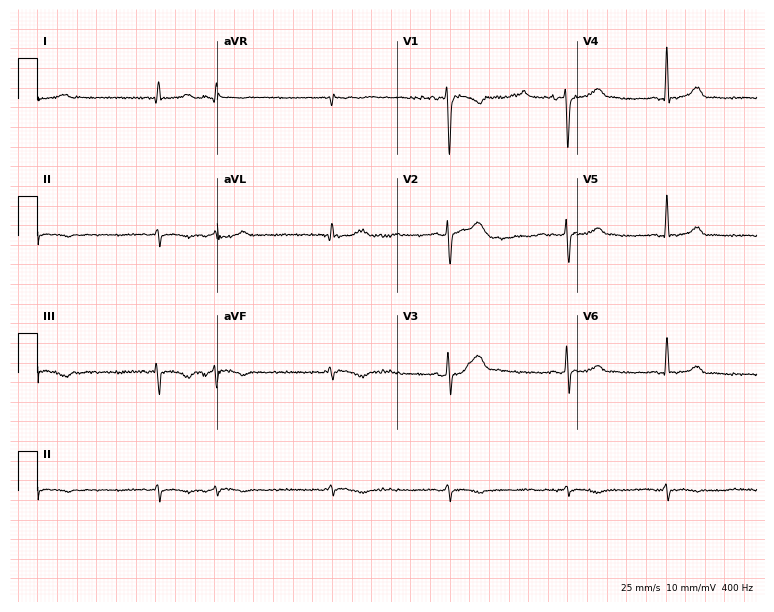
12-lead ECG from a 34-year-old female patient. No first-degree AV block, right bundle branch block, left bundle branch block, sinus bradycardia, atrial fibrillation or sinus tachycardia recorded for this tracing. Only these six findings were labelled.